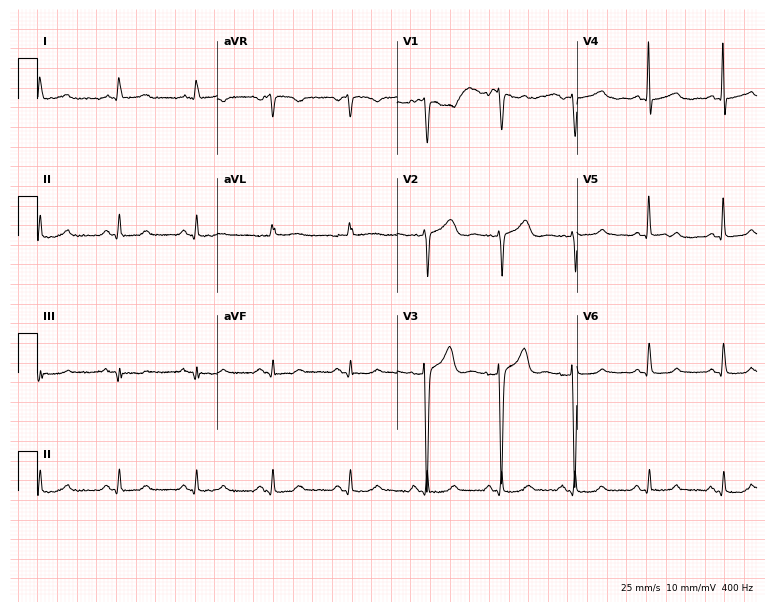
Electrocardiogram, an 82-year-old female. Of the six screened findings (first-degree AV block, right bundle branch block, left bundle branch block, sinus bradycardia, atrial fibrillation, sinus tachycardia), none is recorded.